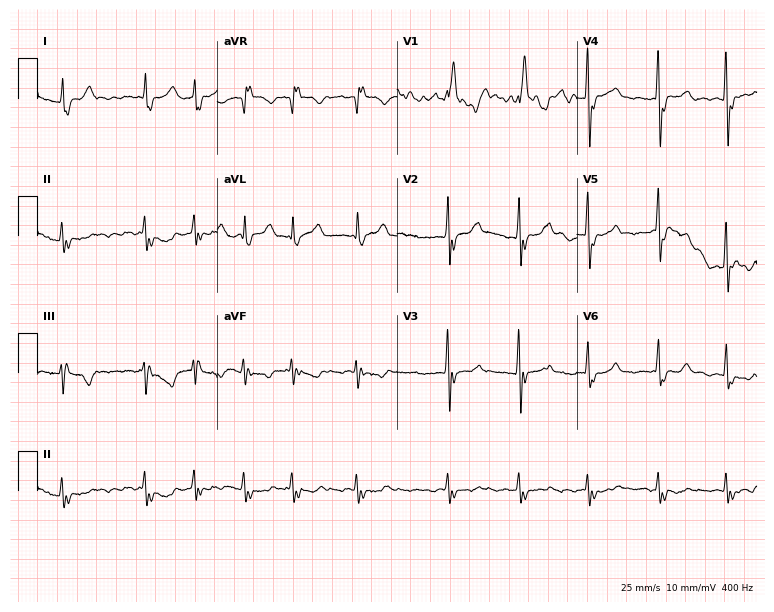
ECG (7.3-second recording at 400 Hz) — a female, 62 years old. Findings include right bundle branch block, atrial fibrillation.